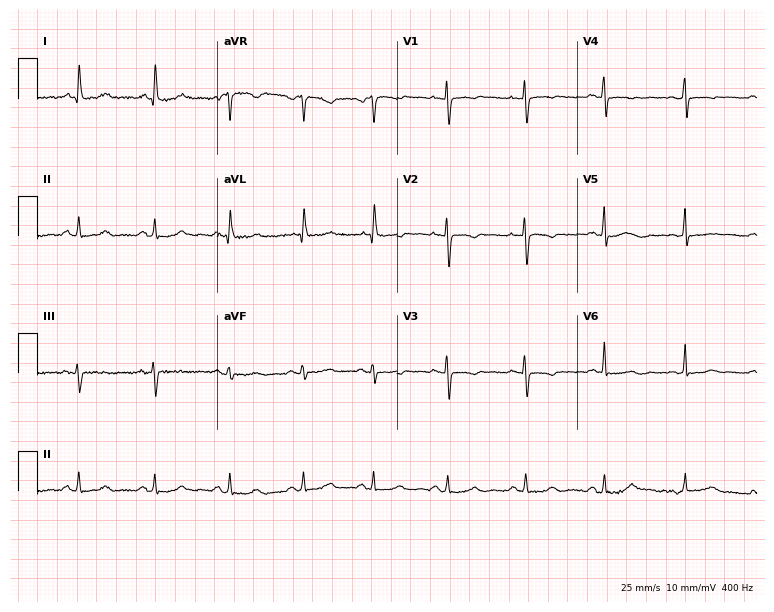
ECG (7.3-second recording at 400 Hz) — a female patient, 48 years old. Screened for six findings — first-degree AV block, right bundle branch block (RBBB), left bundle branch block (LBBB), sinus bradycardia, atrial fibrillation (AF), sinus tachycardia — none is recorded.